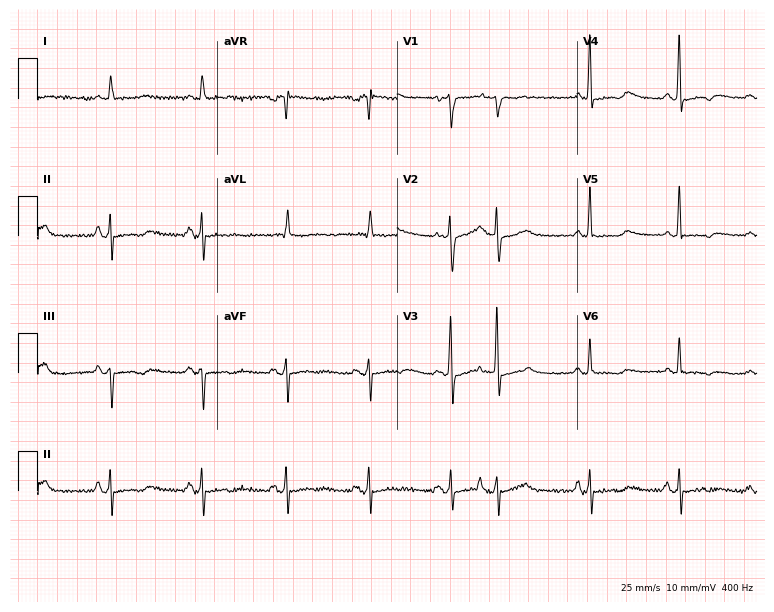
Resting 12-lead electrocardiogram (7.3-second recording at 400 Hz). Patient: a male, 82 years old. None of these six findings is recorded: first-degree AV block, right bundle branch block, left bundle branch block, sinus bradycardia, atrial fibrillation, sinus tachycardia.